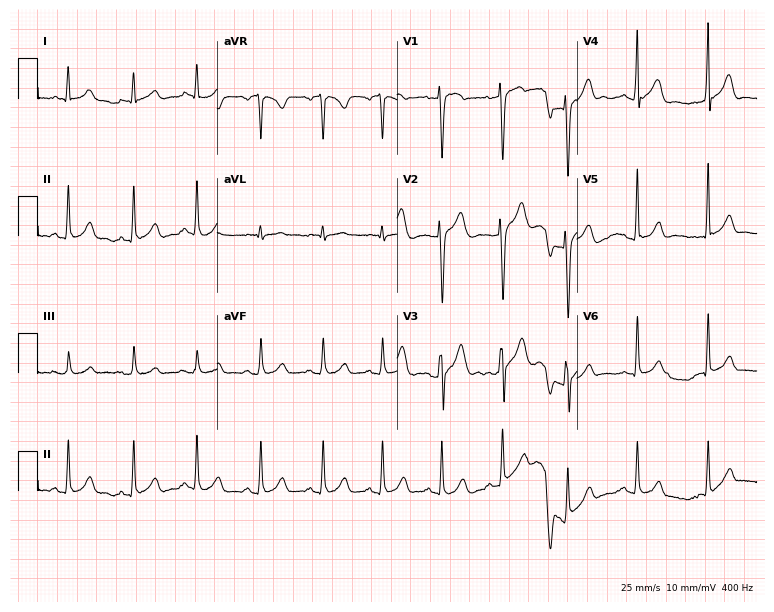
12-lead ECG (7.3-second recording at 400 Hz) from a 21-year-old male. Screened for six findings — first-degree AV block, right bundle branch block, left bundle branch block, sinus bradycardia, atrial fibrillation, sinus tachycardia — none is recorded. Only these six findings were labelled.